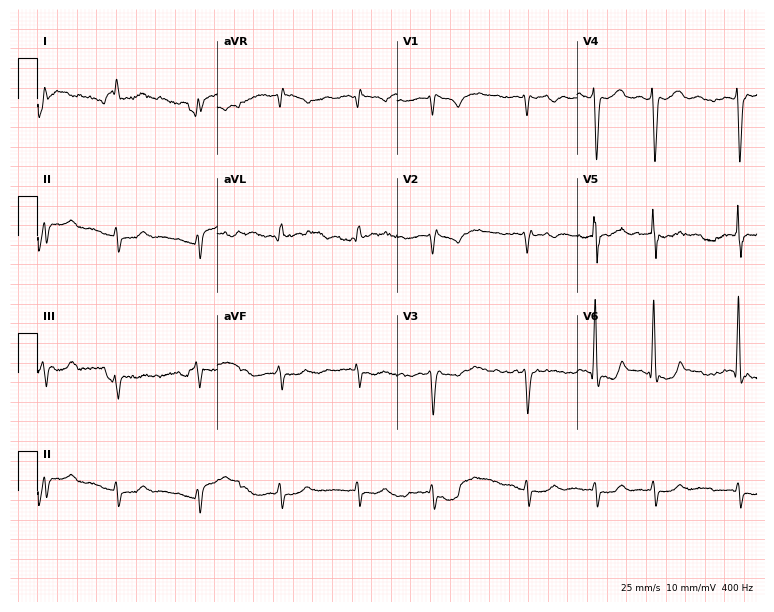
Electrocardiogram, a man, 75 years old. Of the six screened findings (first-degree AV block, right bundle branch block, left bundle branch block, sinus bradycardia, atrial fibrillation, sinus tachycardia), none is recorded. Other findings, if any, are not listed.